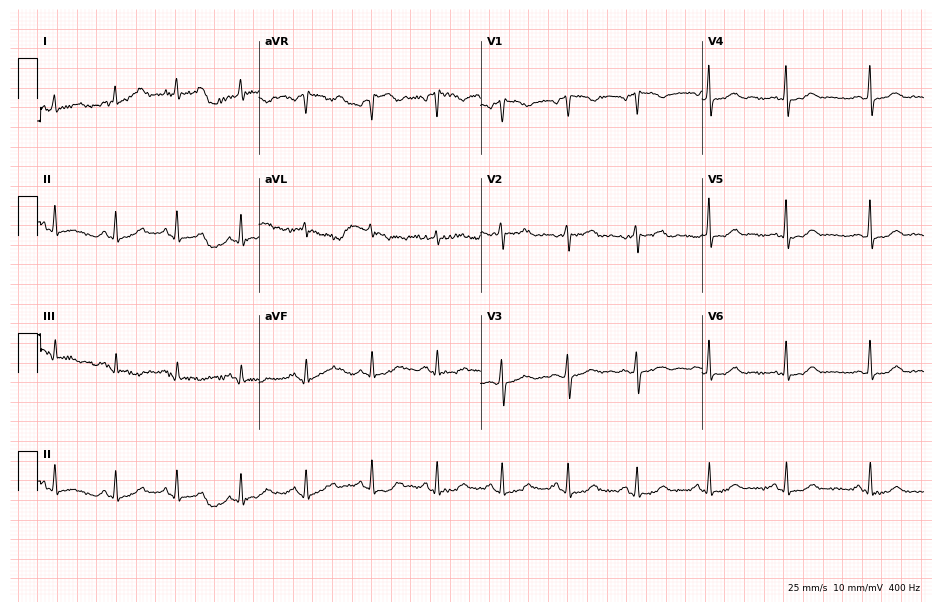
12-lead ECG from a 62-year-old female. No first-degree AV block, right bundle branch block, left bundle branch block, sinus bradycardia, atrial fibrillation or sinus tachycardia recorded for this tracing. Other findings, if any, are not listed.